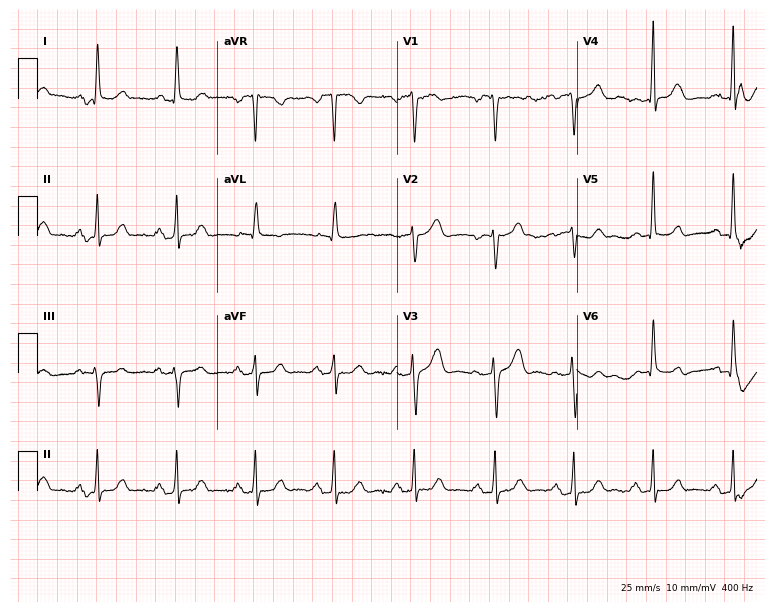
Resting 12-lead electrocardiogram (7.3-second recording at 400 Hz). Patient: a woman, 57 years old. Read as a normal ECG.